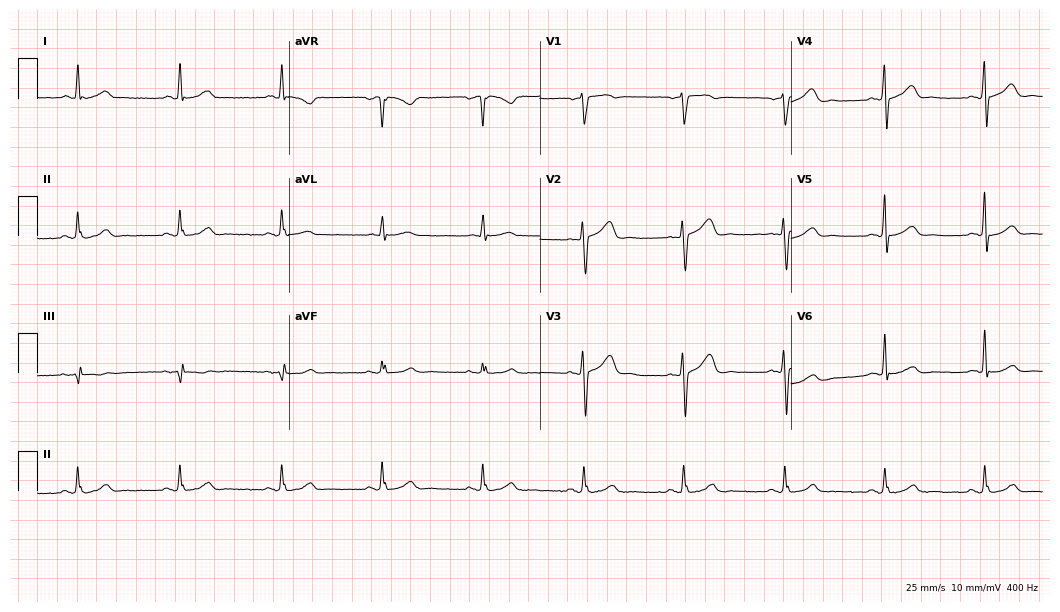
Electrocardiogram, a 60-year-old man. Overall reading on record: normal ECG.